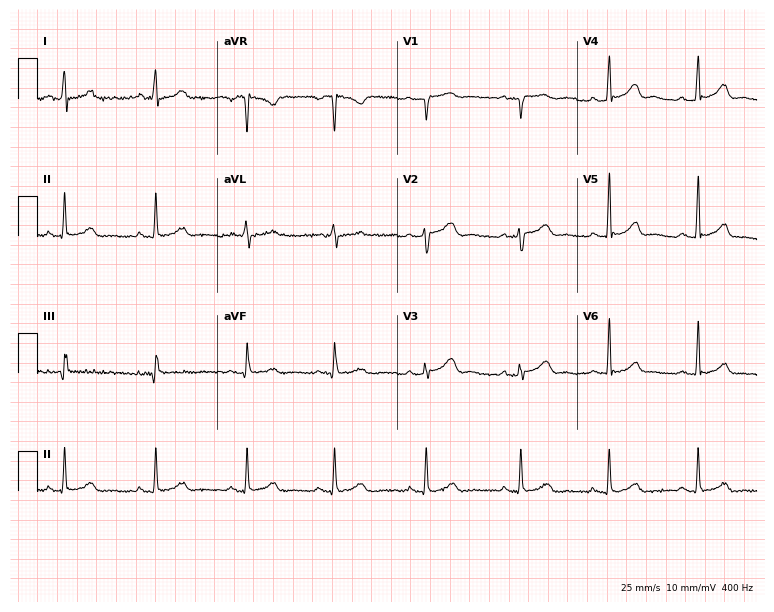
12-lead ECG from a woman, 32 years old (7.3-second recording at 400 Hz). Recorded interpretation: within normal limits.